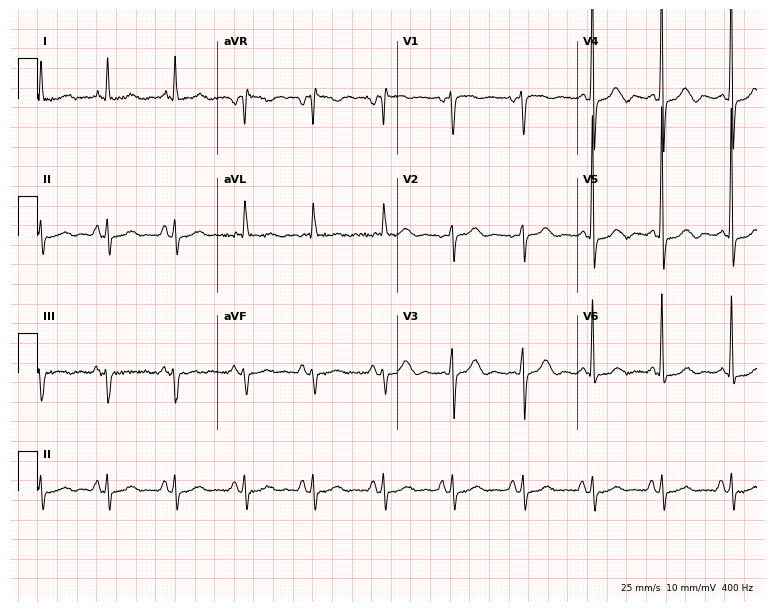
ECG (7.3-second recording at 400 Hz) — a 78-year-old female. Screened for six findings — first-degree AV block, right bundle branch block, left bundle branch block, sinus bradycardia, atrial fibrillation, sinus tachycardia — none is recorded.